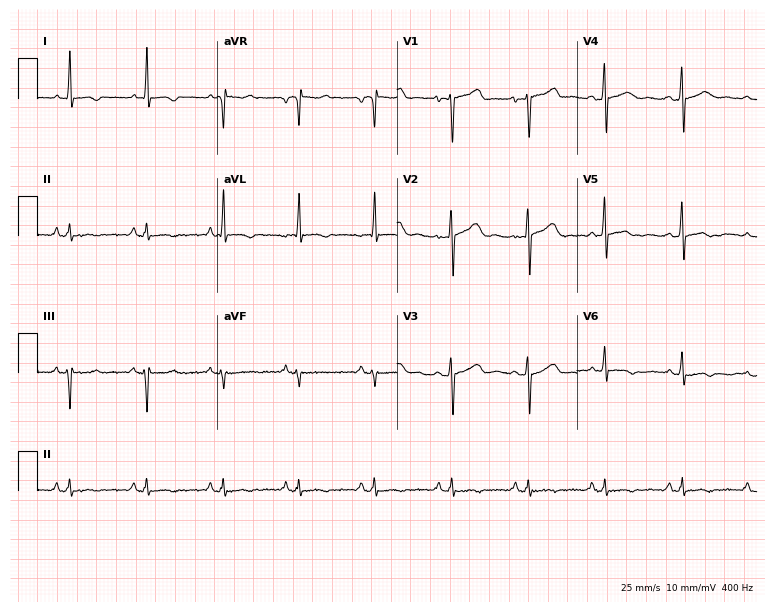
12-lead ECG (7.3-second recording at 400 Hz) from a 50-year-old female patient. Screened for six findings — first-degree AV block, right bundle branch block (RBBB), left bundle branch block (LBBB), sinus bradycardia, atrial fibrillation (AF), sinus tachycardia — none is recorded. Other findings, if any, are not listed.